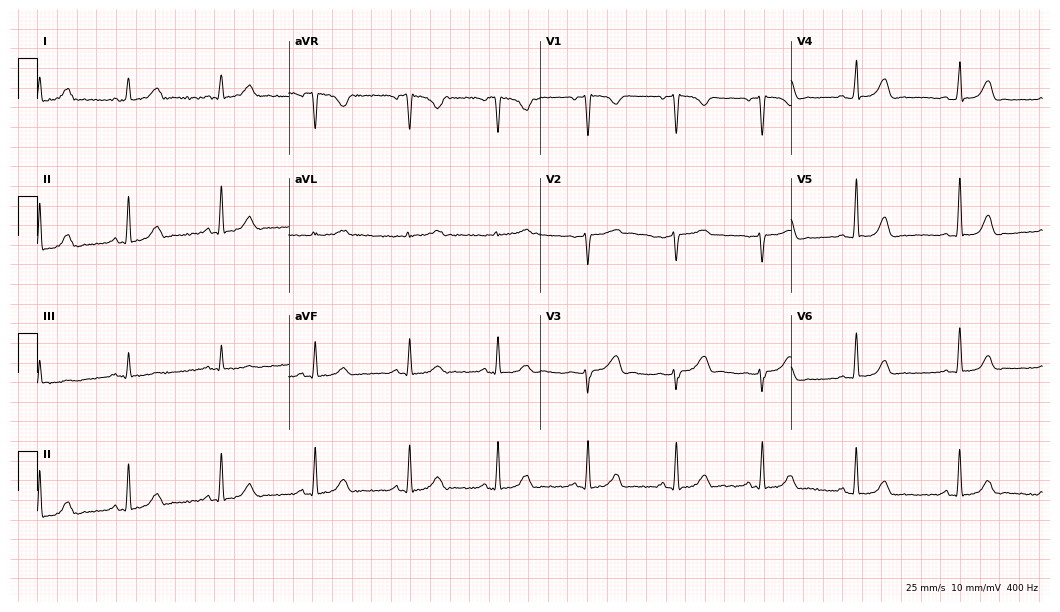
Standard 12-lead ECG recorded from a 32-year-old female patient. Read as a normal ECG.